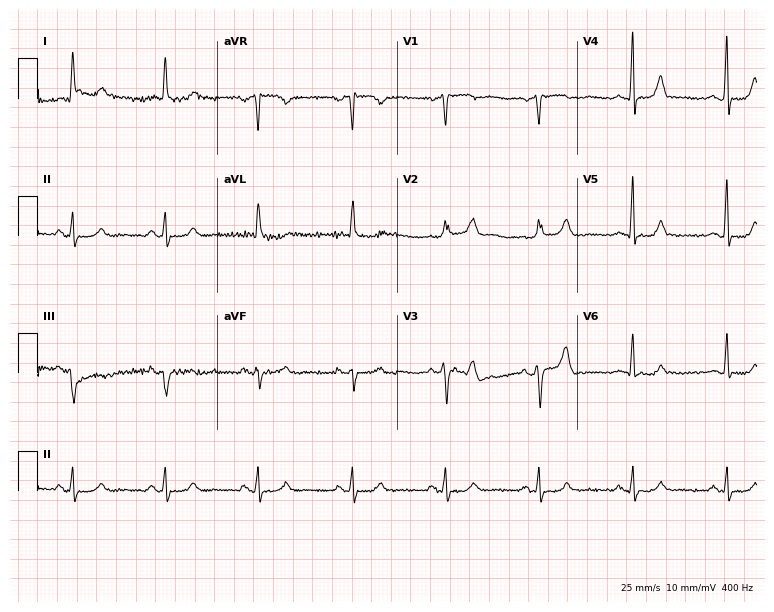
ECG — a 74-year-old male patient. Labelled as a normal ECG.